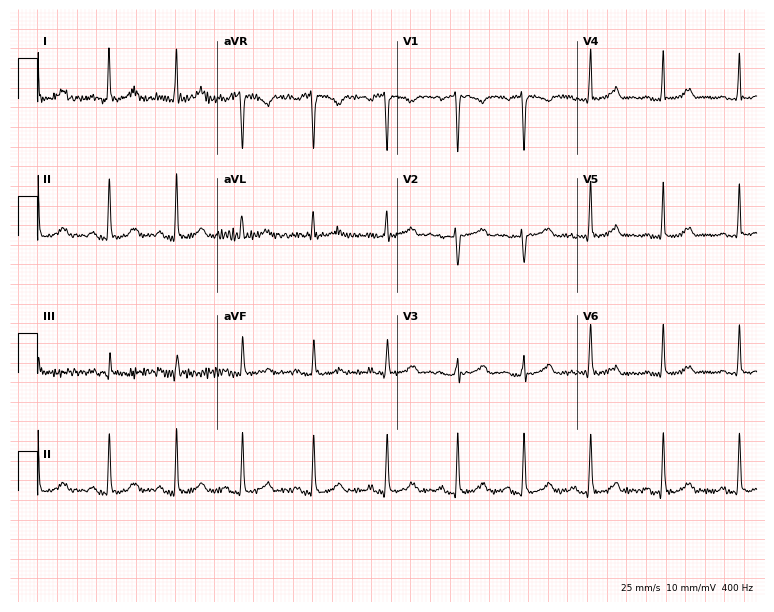
12-lead ECG from a female patient, 35 years old. Screened for six findings — first-degree AV block, right bundle branch block, left bundle branch block, sinus bradycardia, atrial fibrillation, sinus tachycardia — none is recorded.